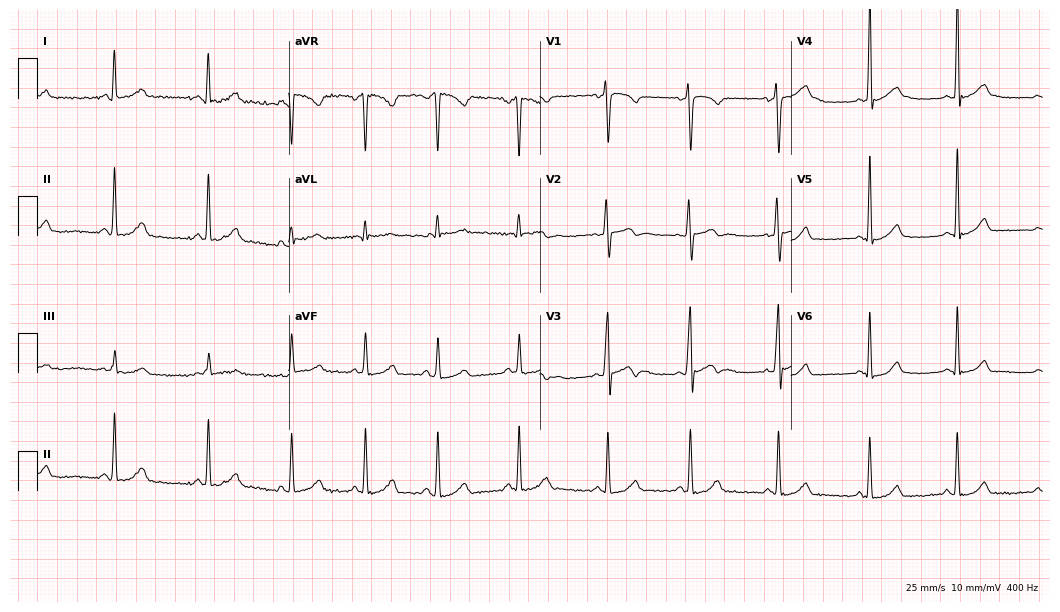
Electrocardiogram, a male patient, 19 years old. Overall reading on record: normal ECG.